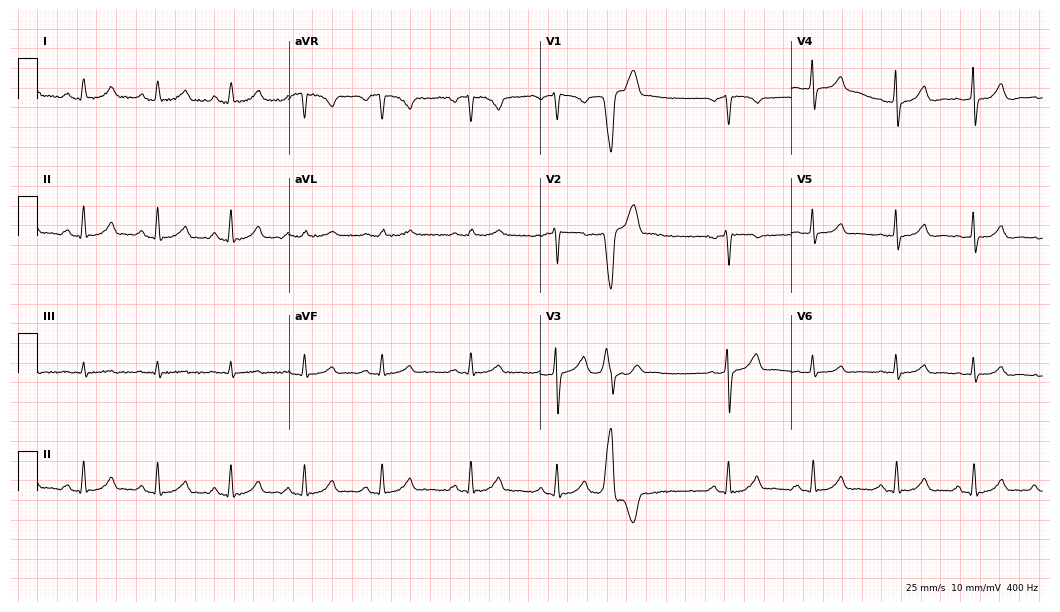
Electrocardiogram, a female, 47 years old. Overall reading on record: normal ECG.